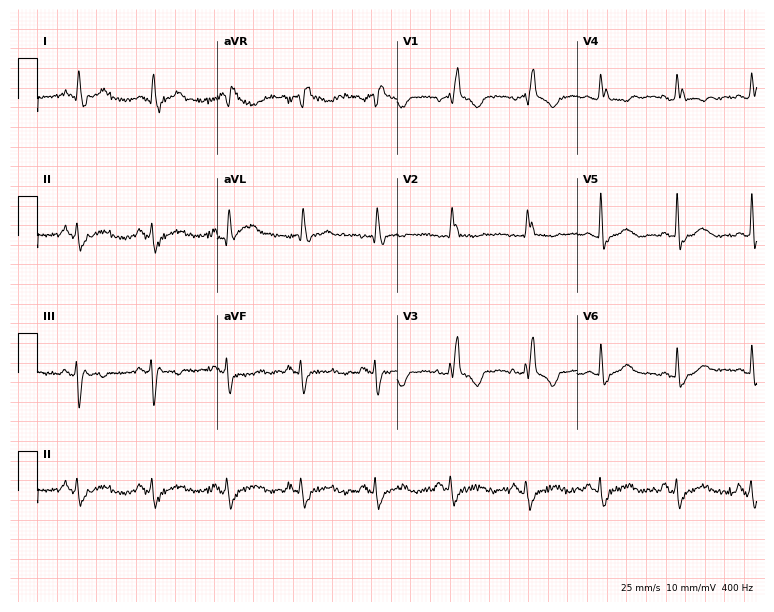
Electrocardiogram (7.3-second recording at 400 Hz), an 80-year-old woman. Of the six screened findings (first-degree AV block, right bundle branch block, left bundle branch block, sinus bradycardia, atrial fibrillation, sinus tachycardia), none is recorded.